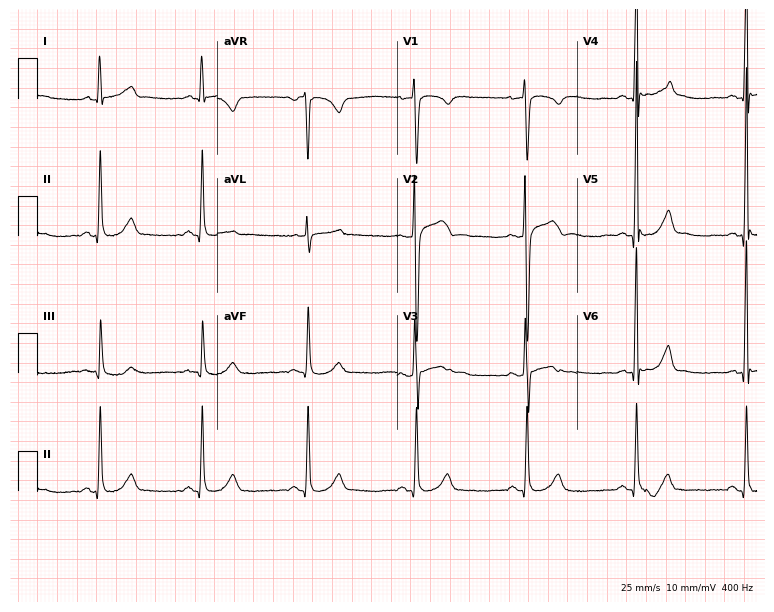
Standard 12-lead ECG recorded from a 39-year-old male (7.3-second recording at 400 Hz). None of these six findings is recorded: first-degree AV block, right bundle branch block (RBBB), left bundle branch block (LBBB), sinus bradycardia, atrial fibrillation (AF), sinus tachycardia.